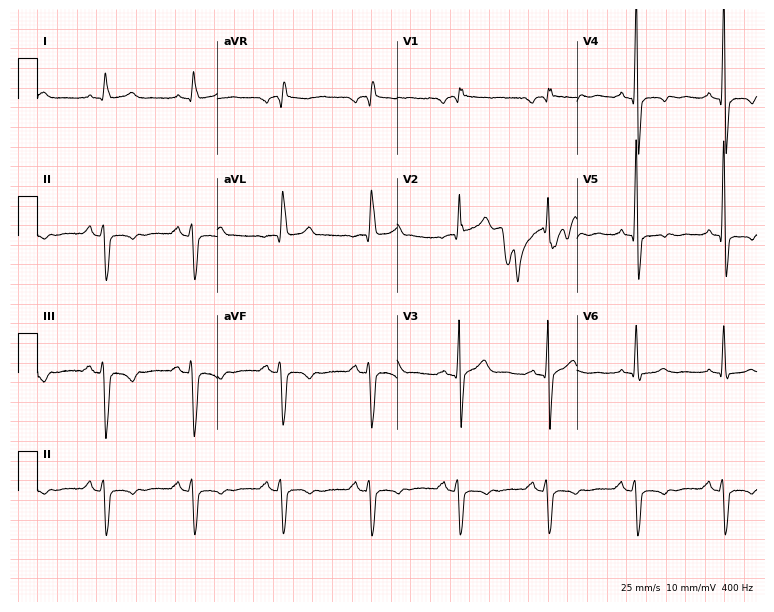
Electrocardiogram, a male patient, 68 years old. Of the six screened findings (first-degree AV block, right bundle branch block, left bundle branch block, sinus bradycardia, atrial fibrillation, sinus tachycardia), none is recorded. Findings outside these six are not listed.